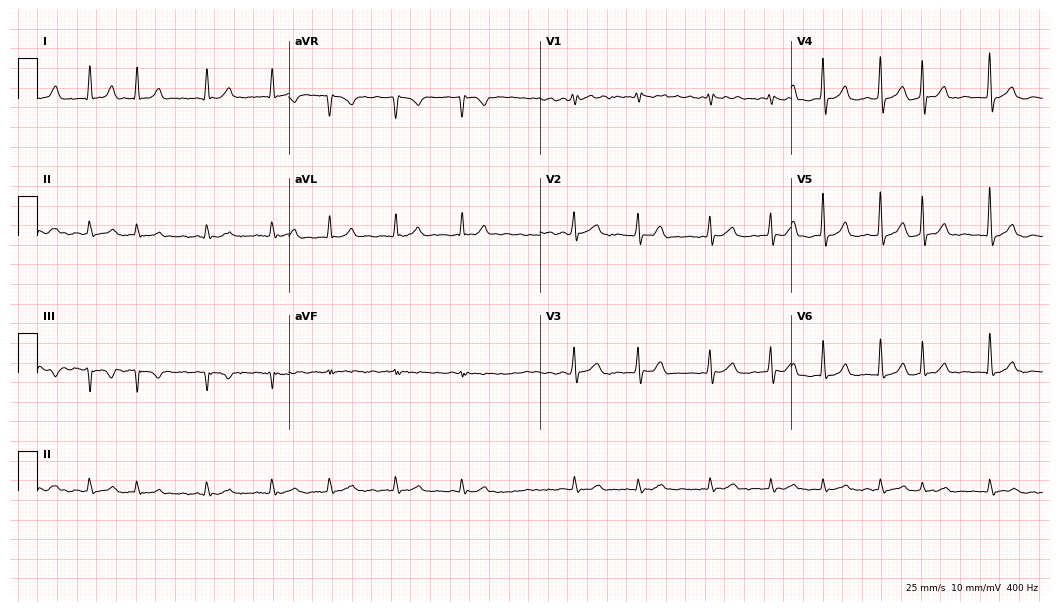
Electrocardiogram, an 81-year-old man. Interpretation includes atrial fibrillation.